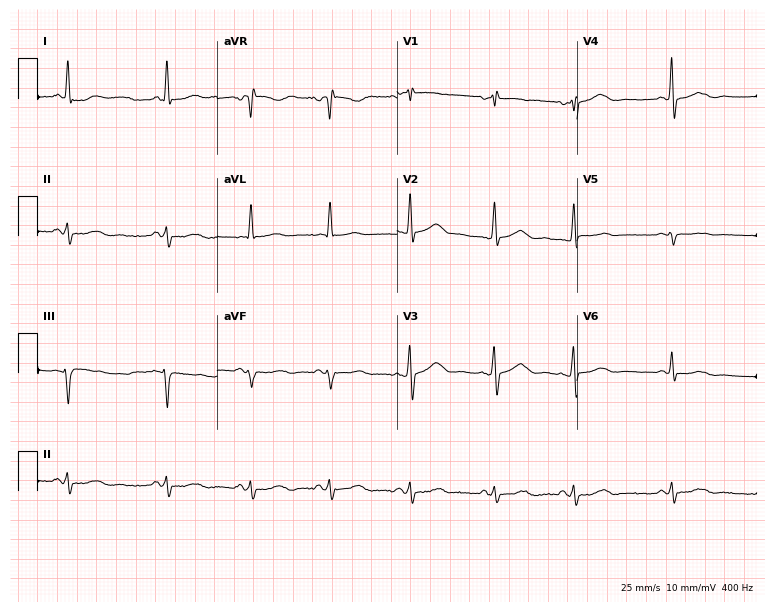
Electrocardiogram (7.3-second recording at 400 Hz), a 63-year-old female. Of the six screened findings (first-degree AV block, right bundle branch block, left bundle branch block, sinus bradycardia, atrial fibrillation, sinus tachycardia), none is recorded.